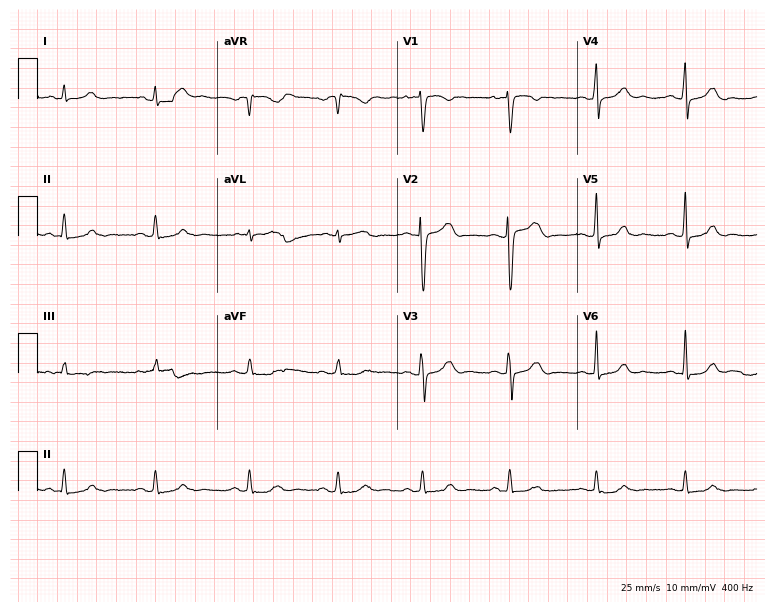
ECG (7.3-second recording at 400 Hz) — a female, 23 years old. Labelled as a normal ECG.